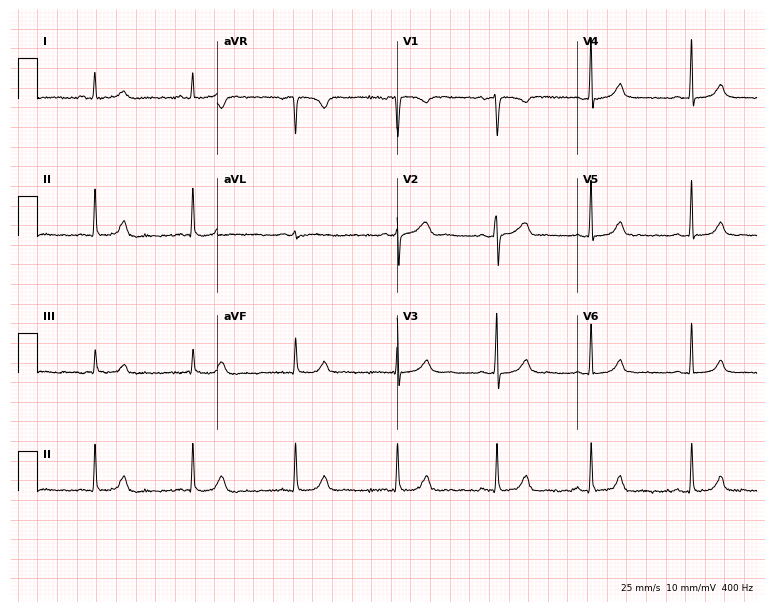
12-lead ECG (7.3-second recording at 400 Hz) from a female, 36 years old. Screened for six findings — first-degree AV block, right bundle branch block, left bundle branch block, sinus bradycardia, atrial fibrillation, sinus tachycardia — none is recorded. Only these six findings were labelled.